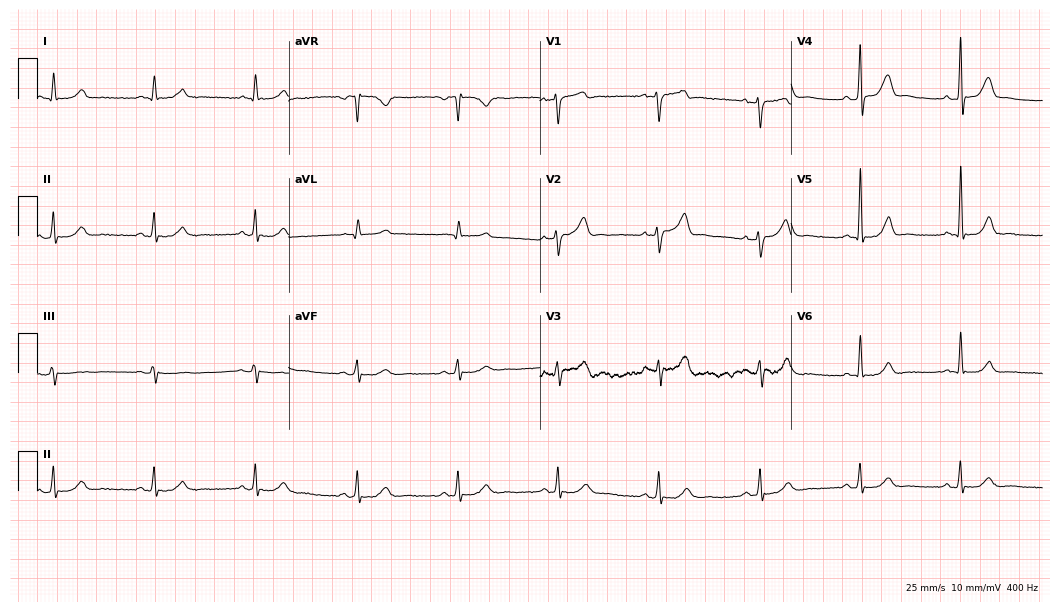
ECG (10.2-second recording at 400 Hz) — a 54-year-old male patient. Labelled as a normal ECG.